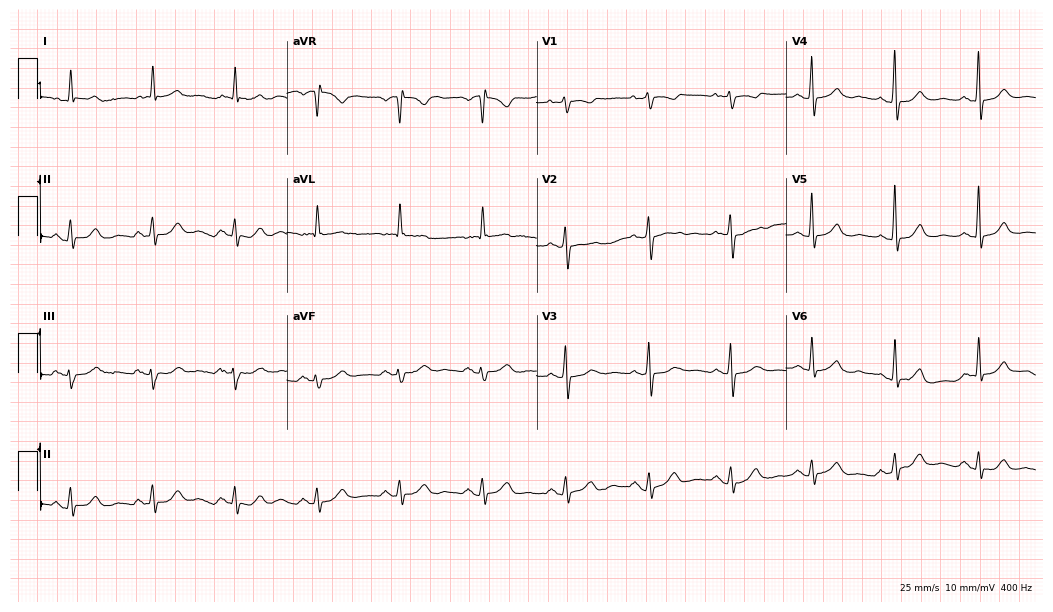
Electrocardiogram, a female, 81 years old. Overall reading on record: normal ECG.